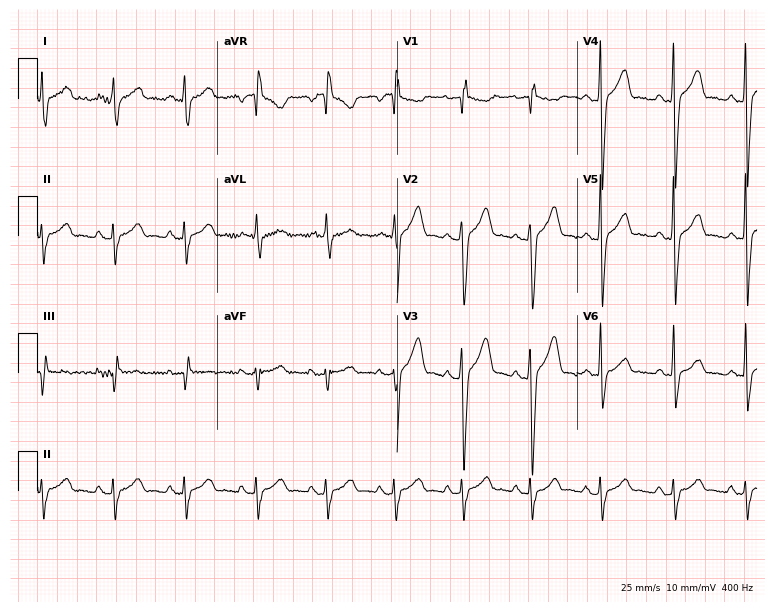
Resting 12-lead electrocardiogram (7.3-second recording at 400 Hz). Patient: a male, 33 years old. None of these six findings is recorded: first-degree AV block, right bundle branch block, left bundle branch block, sinus bradycardia, atrial fibrillation, sinus tachycardia.